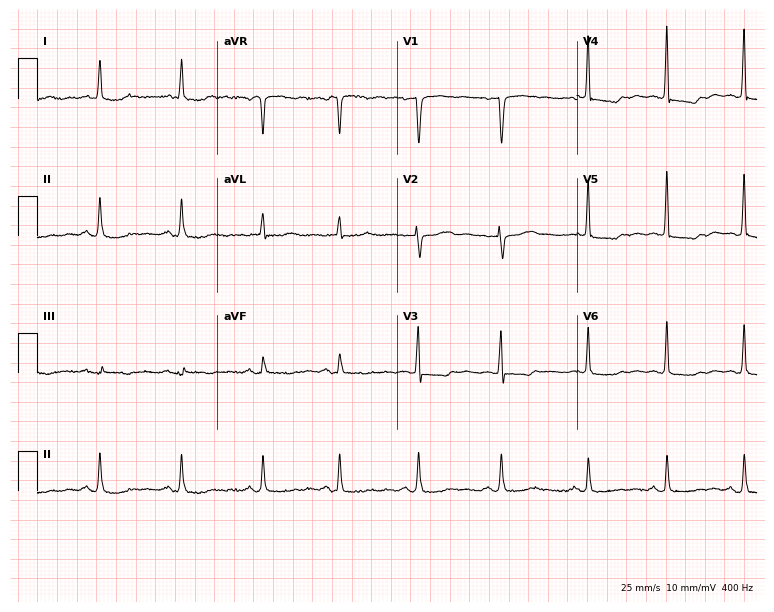
12-lead ECG from a 66-year-old female patient (7.3-second recording at 400 Hz). No first-degree AV block, right bundle branch block (RBBB), left bundle branch block (LBBB), sinus bradycardia, atrial fibrillation (AF) or sinus tachycardia recorded for this tracing.